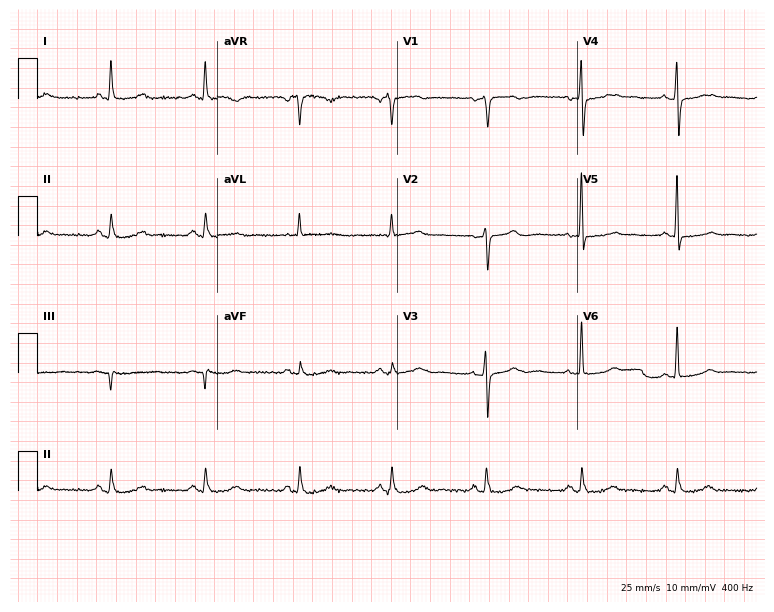
Electrocardiogram, a 68-year-old female patient. Of the six screened findings (first-degree AV block, right bundle branch block, left bundle branch block, sinus bradycardia, atrial fibrillation, sinus tachycardia), none is recorded.